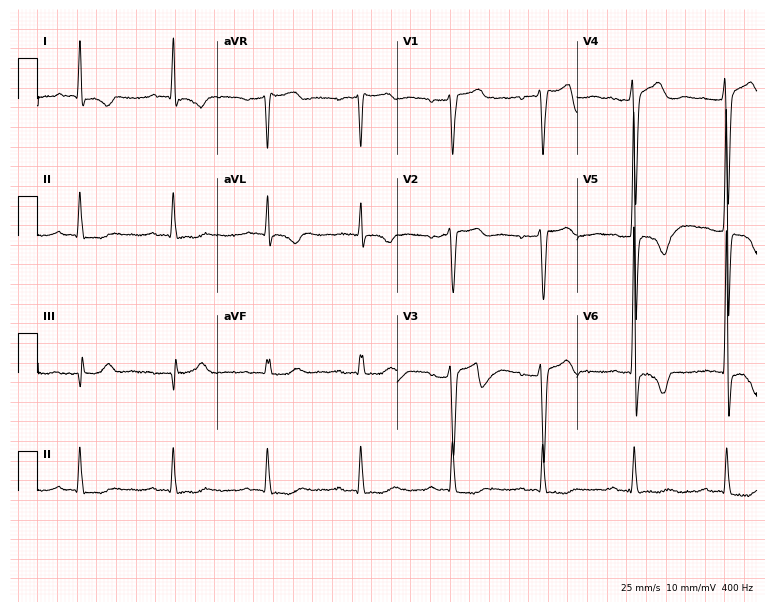
12-lead ECG from a male patient, 54 years old. Screened for six findings — first-degree AV block, right bundle branch block, left bundle branch block, sinus bradycardia, atrial fibrillation, sinus tachycardia — none is recorded. Only these six findings were labelled.